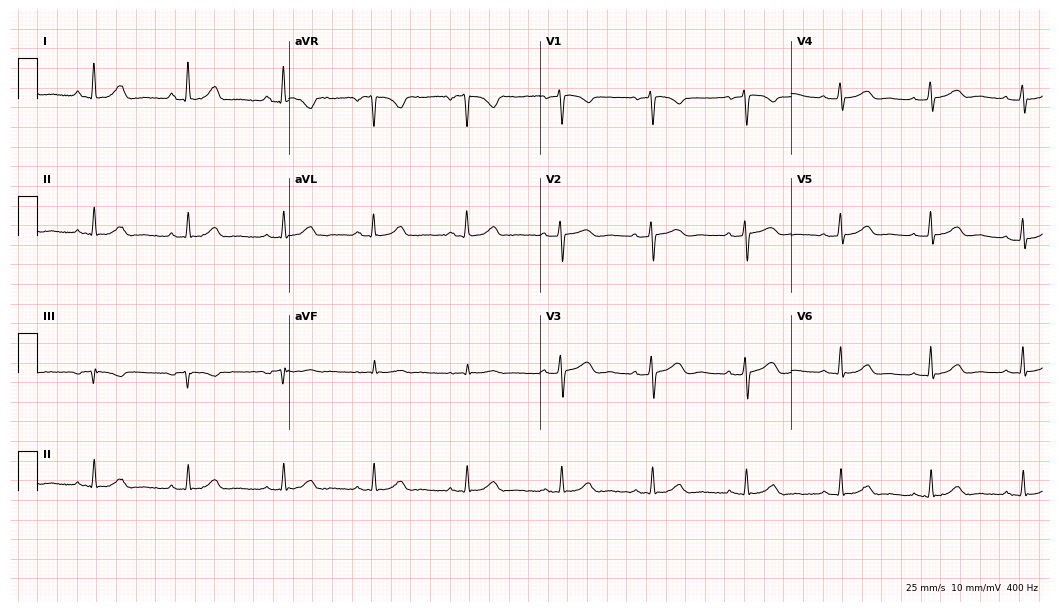
Resting 12-lead electrocardiogram. Patient: a female, 42 years old. Read as a normal ECG.